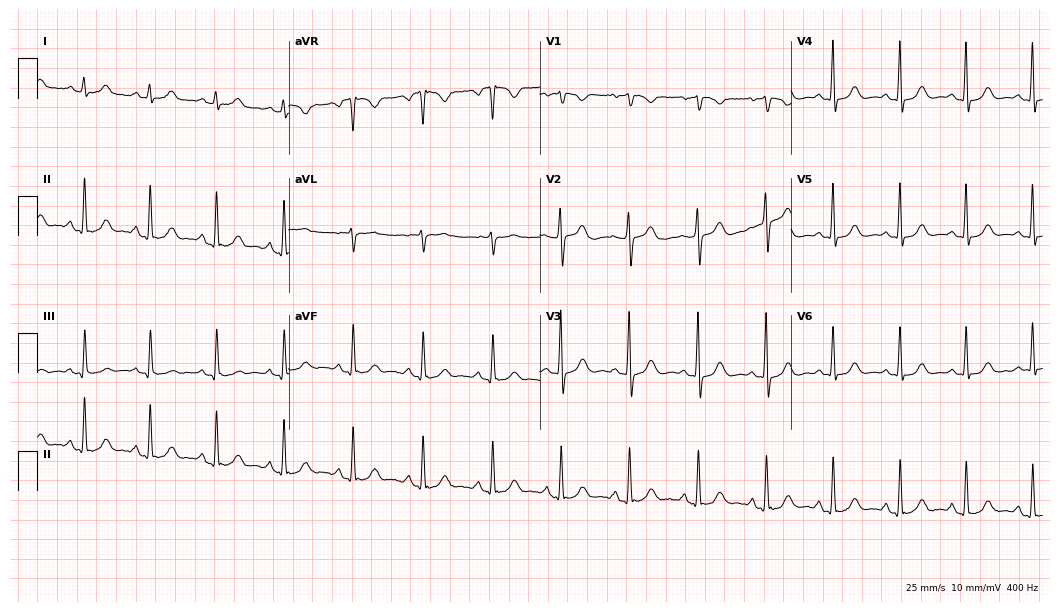
Resting 12-lead electrocardiogram (10.2-second recording at 400 Hz). Patient: a 62-year-old female. Read as a normal ECG.